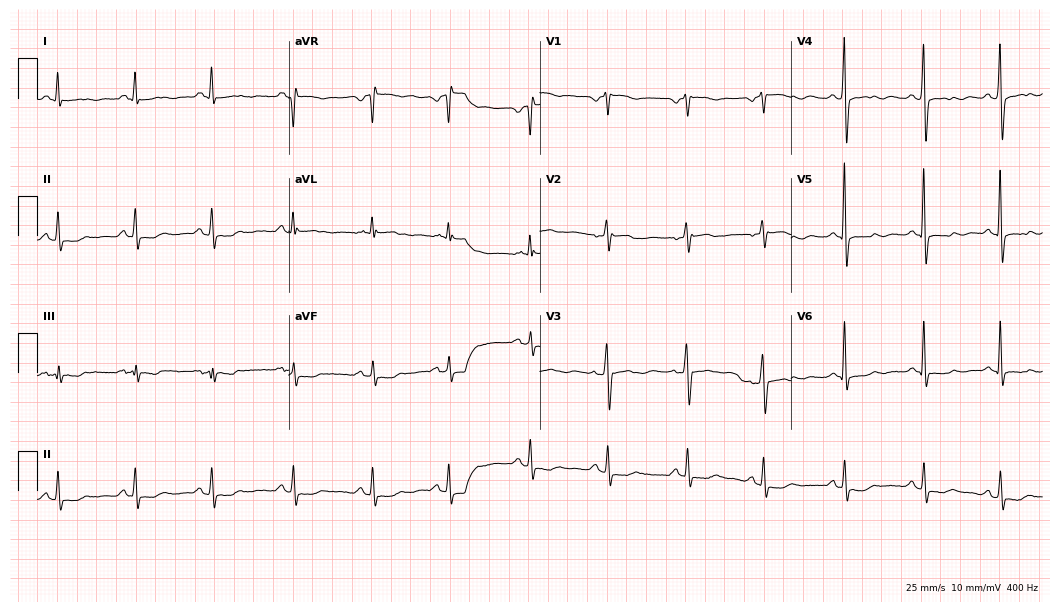
12-lead ECG from a 66-year-old woman (10.2-second recording at 400 Hz). No first-degree AV block, right bundle branch block, left bundle branch block, sinus bradycardia, atrial fibrillation or sinus tachycardia recorded for this tracing.